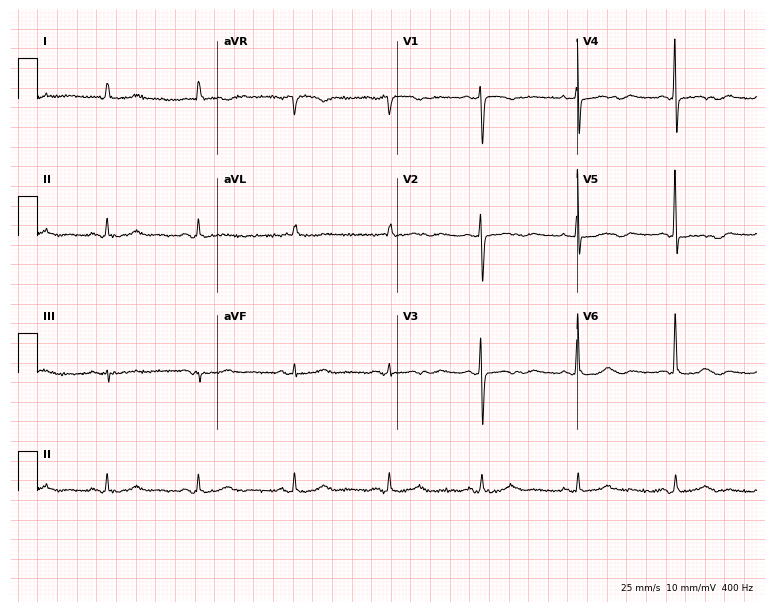
12-lead ECG from an 83-year-old female (7.3-second recording at 400 Hz). No first-degree AV block, right bundle branch block (RBBB), left bundle branch block (LBBB), sinus bradycardia, atrial fibrillation (AF) or sinus tachycardia recorded for this tracing.